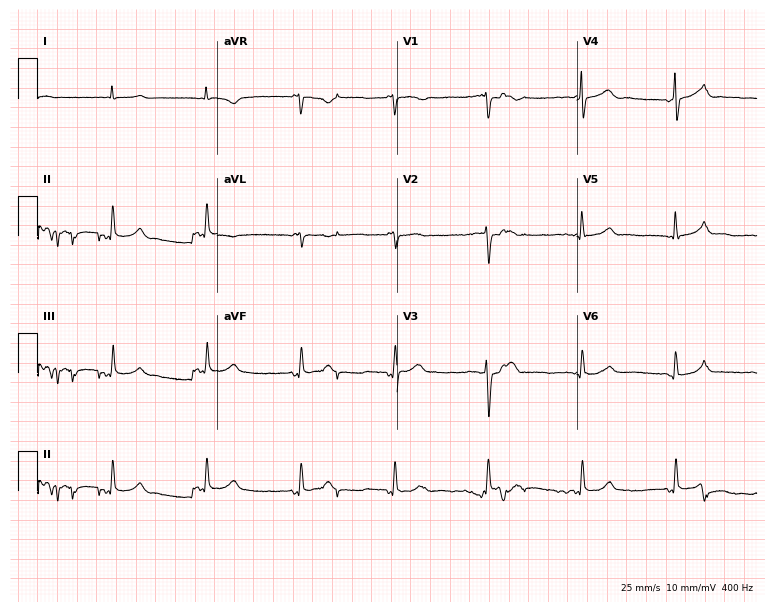
Electrocardiogram, a 51-year-old male patient. Overall reading on record: normal ECG.